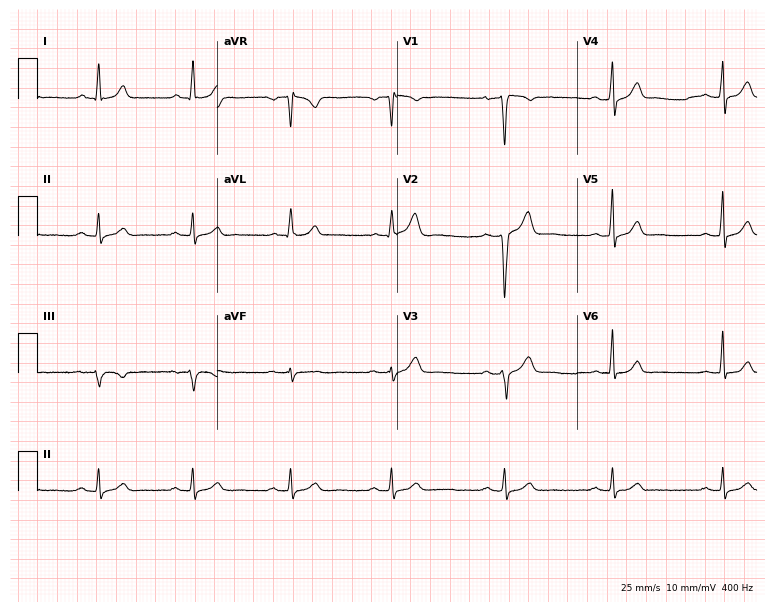
12-lead ECG from a man, 48 years old. No first-degree AV block, right bundle branch block, left bundle branch block, sinus bradycardia, atrial fibrillation or sinus tachycardia recorded for this tracing. Only these six findings were labelled.